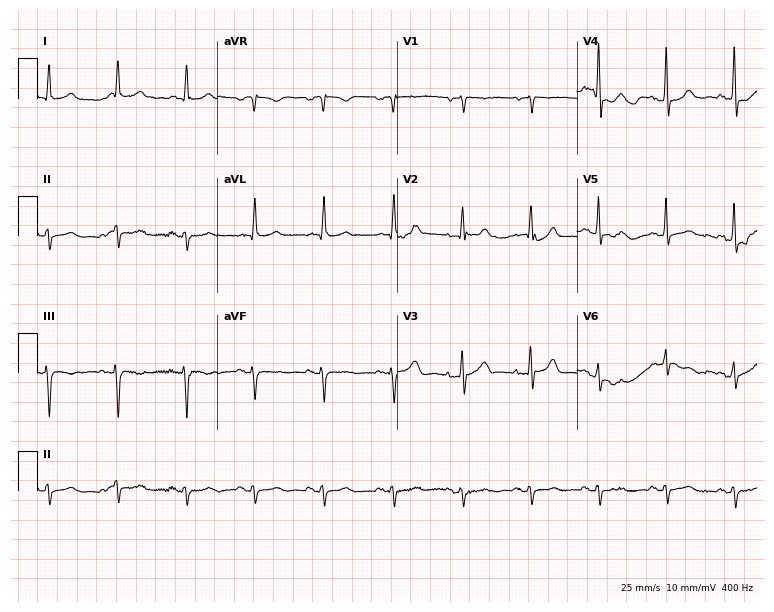
ECG (7.3-second recording at 400 Hz) — a male, 72 years old. Screened for six findings — first-degree AV block, right bundle branch block, left bundle branch block, sinus bradycardia, atrial fibrillation, sinus tachycardia — none is recorded. Findings outside these six are not listed.